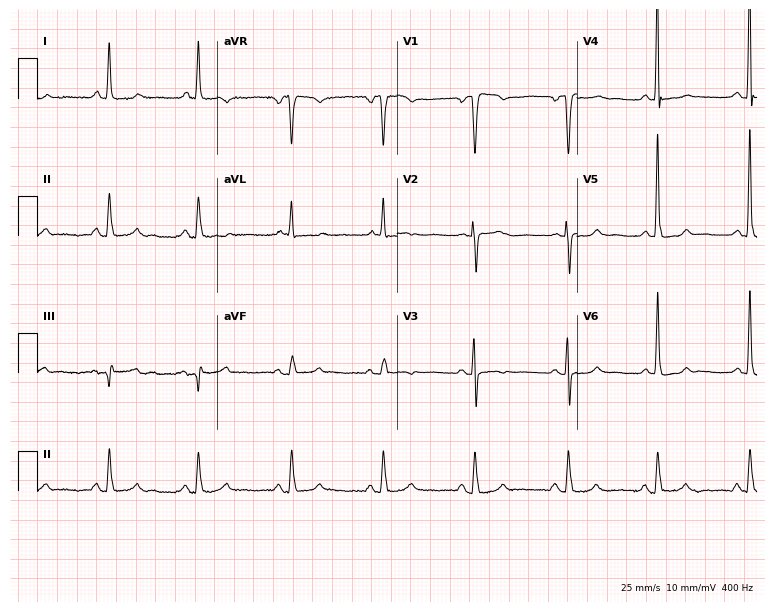
Resting 12-lead electrocardiogram (7.3-second recording at 400 Hz). Patient: a female, 64 years old. None of these six findings is recorded: first-degree AV block, right bundle branch block (RBBB), left bundle branch block (LBBB), sinus bradycardia, atrial fibrillation (AF), sinus tachycardia. Only these six findings were labelled.